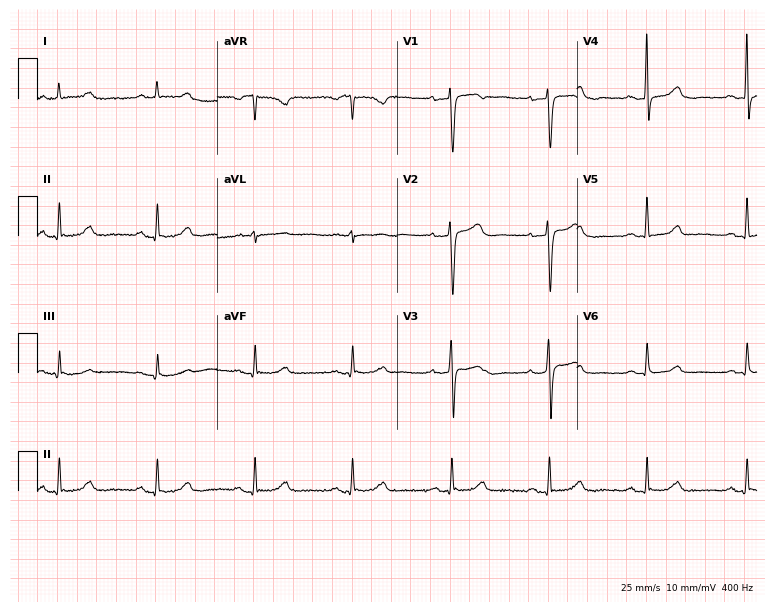
Resting 12-lead electrocardiogram. Patient: a 57-year-old female. Read as a normal ECG.